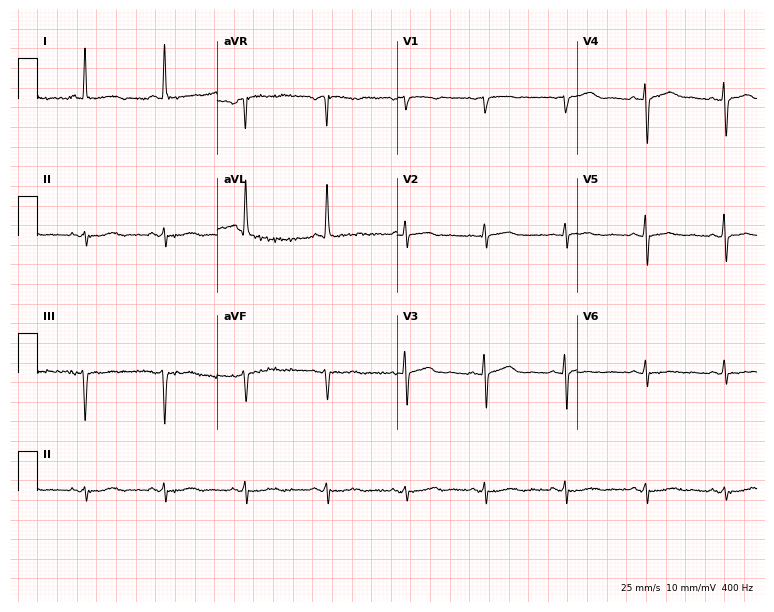
12-lead ECG from a female, 73 years old (7.3-second recording at 400 Hz). No first-degree AV block, right bundle branch block, left bundle branch block, sinus bradycardia, atrial fibrillation or sinus tachycardia recorded for this tracing. Other findings, if any, are not listed.